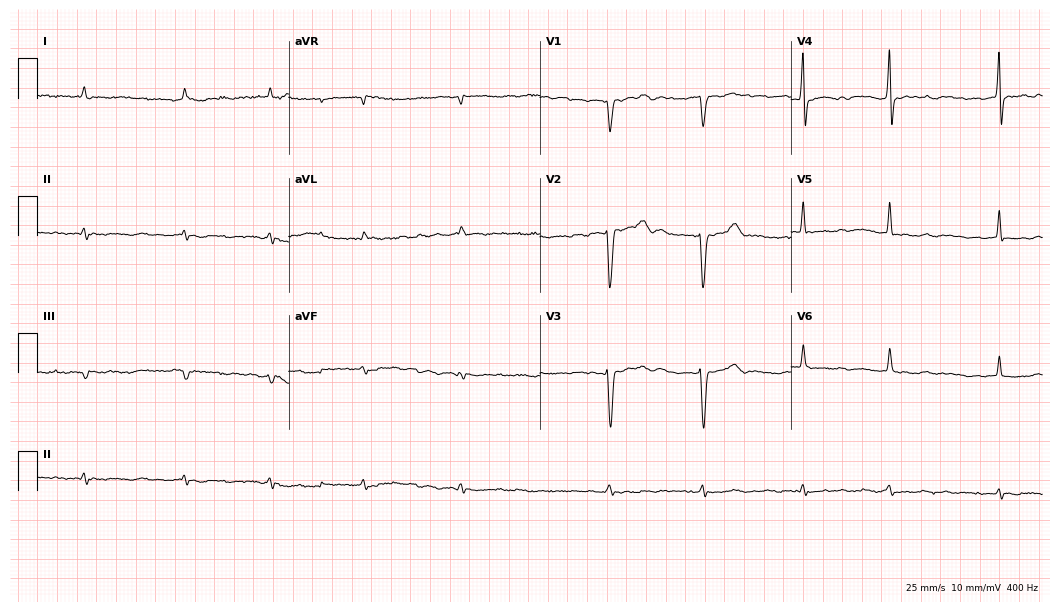
Resting 12-lead electrocardiogram. Patient: an 86-year-old male. The tracing shows atrial fibrillation.